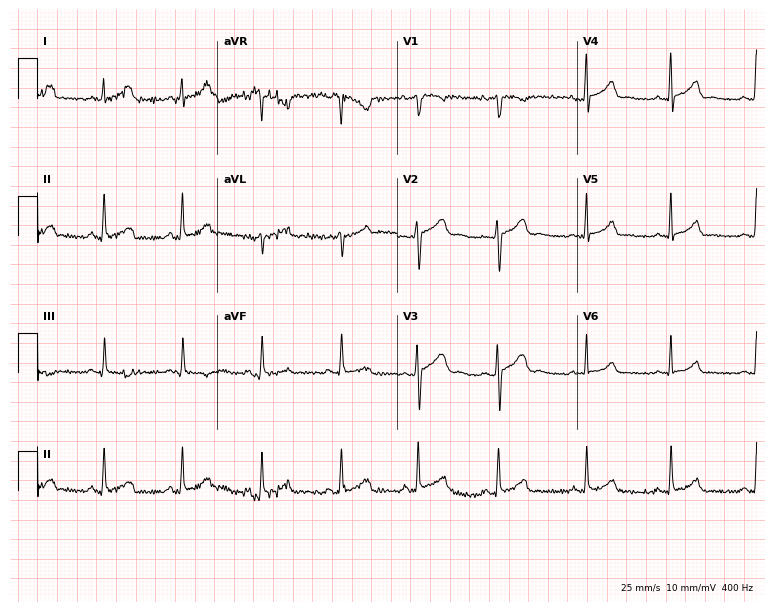
Electrocardiogram, a female, 26 years old. Overall reading on record: normal ECG.